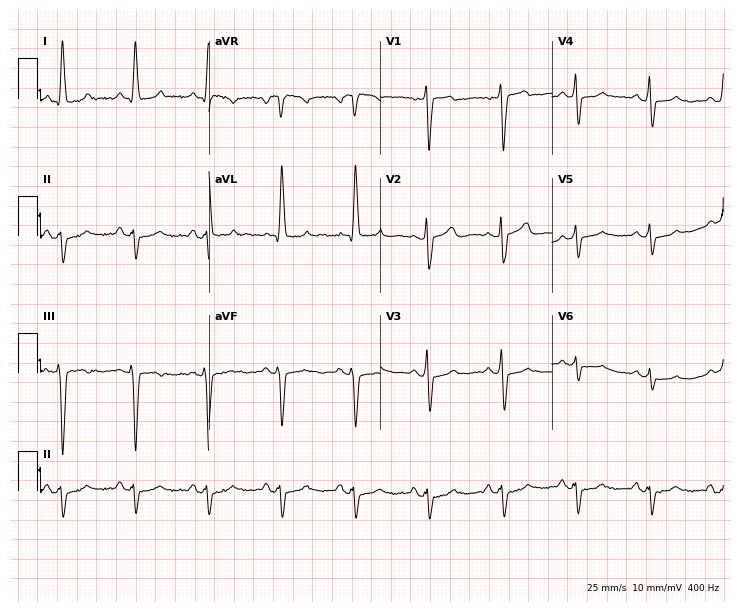
ECG (7-second recording at 400 Hz) — a female, 59 years old. Screened for six findings — first-degree AV block, right bundle branch block, left bundle branch block, sinus bradycardia, atrial fibrillation, sinus tachycardia — none is recorded.